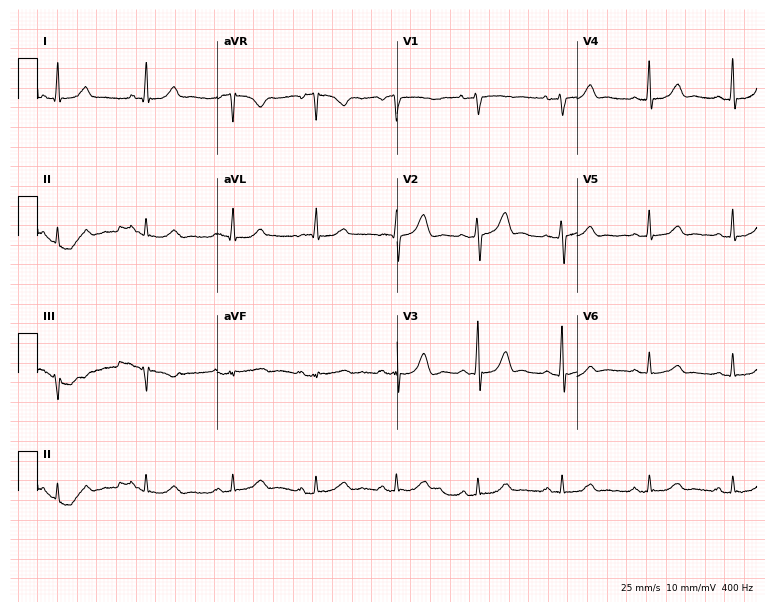
12-lead ECG from a 53-year-old female patient. Labelled as a normal ECG.